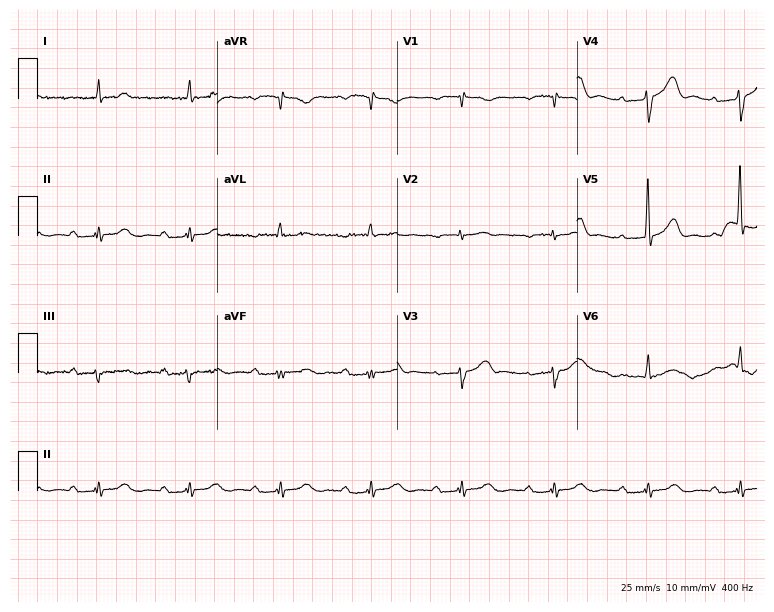
ECG (7.3-second recording at 400 Hz) — a male patient, 74 years old. Findings include first-degree AV block.